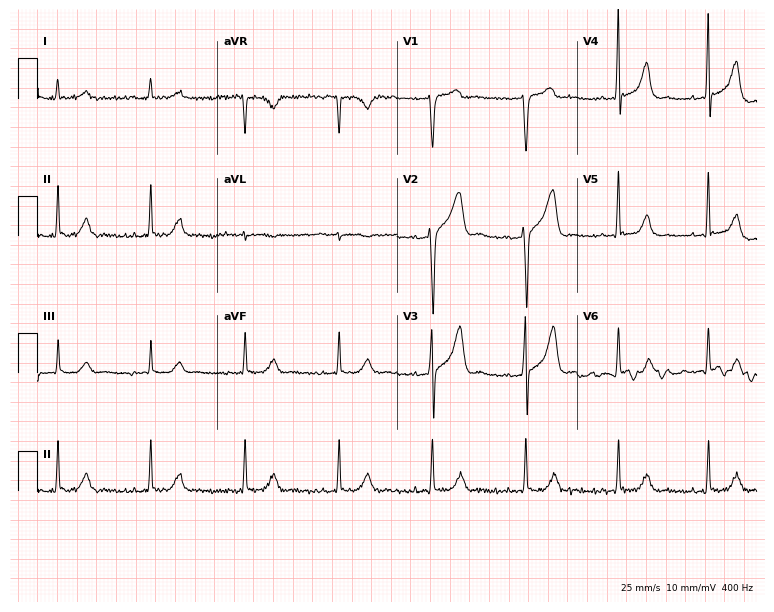
12-lead ECG from a male patient, 49 years old. Recorded interpretation: within normal limits.